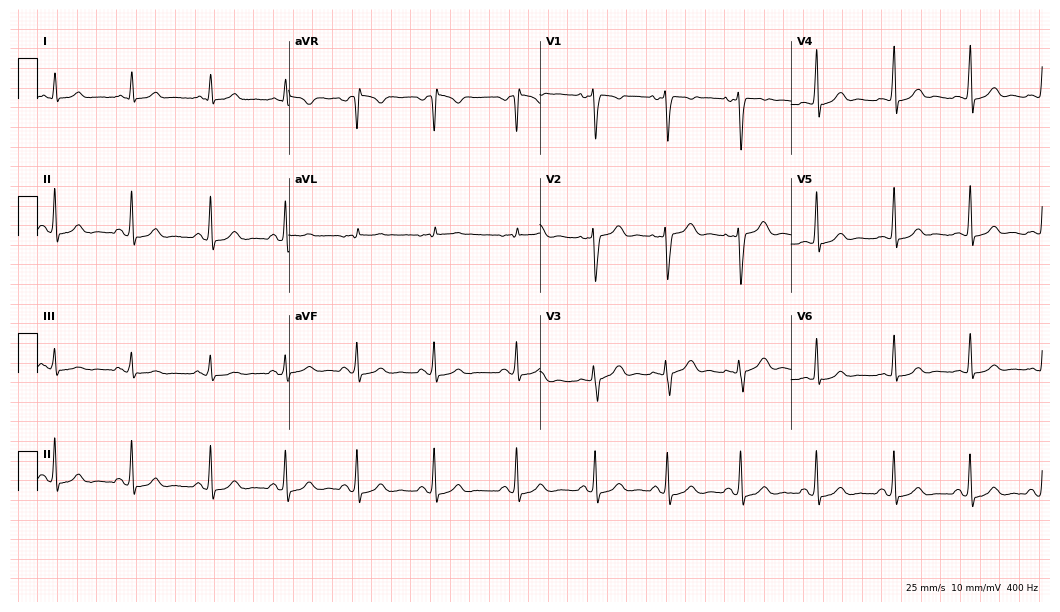
Resting 12-lead electrocardiogram. Patient: a 20-year-old female. None of these six findings is recorded: first-degree AV block, right bundle branch block, left bundle branch block, sinus bradycardia, atrial fibrillation, sinus tachycardia.